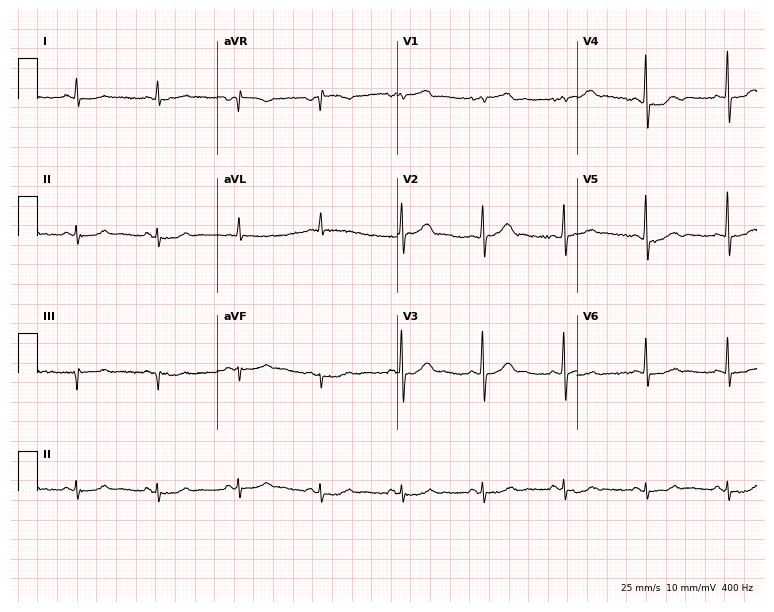
Electrocardiogram (7.3-second recording at 400 Hz), a 68-year-old male. Of the six screened findings (first-degree AV block, right bundle branch block (RBBB), left bundle branch block (LBBB), sinus bradycardia, atrial fibrillation (AF), sinus tachycardia), none is recorded.